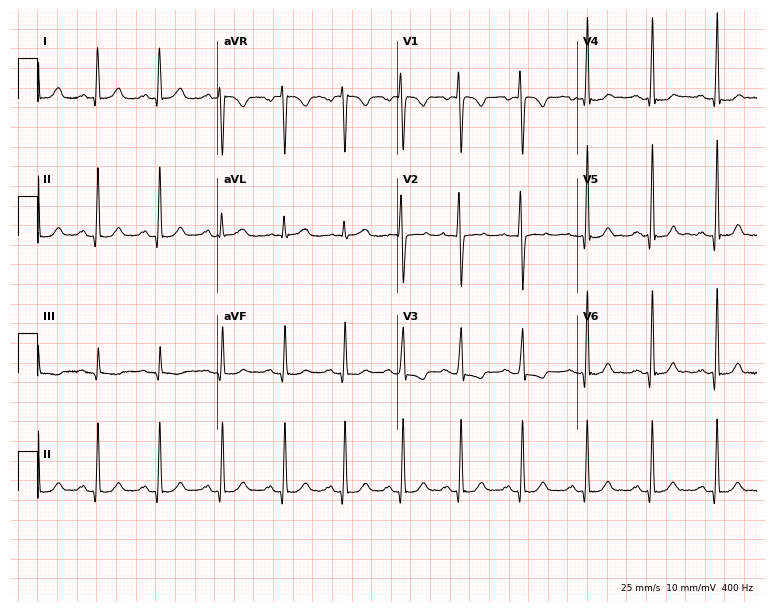
Electrocardiogram (7.3-second recording at 400 Hz), a 25-year-old female patient. Of the six screened findings (first-degree AV block, right bundle branch block (RBBB), left bundle branch block (LBBB), sinus bradycardia, atrial fibrillation (AF), sinus tachycardia), none is recorded. Only these six findings were labelled.